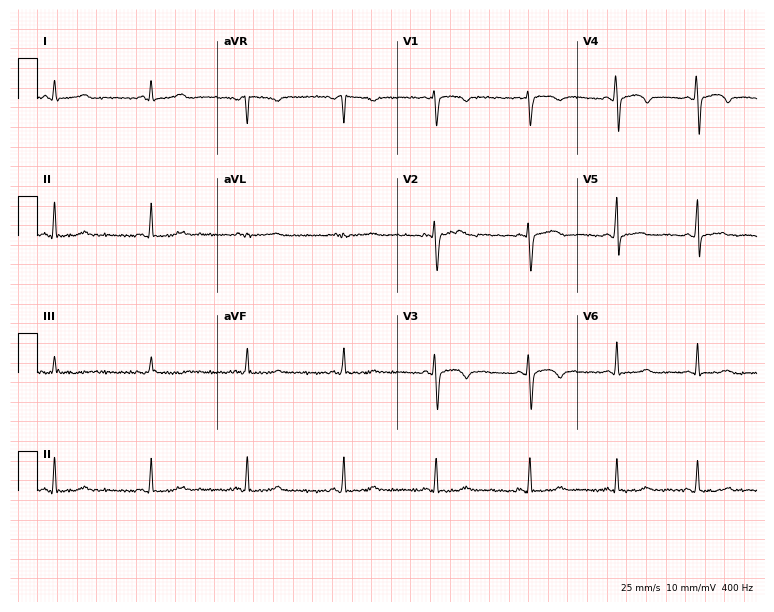
12-lead ECG from a 19-year-old woman. No first-degree AV block, right bundle branch block, left bundle branch block, sinus bradycardia, atrial fibrillation or sinus tachycardia recorded for this tracing.